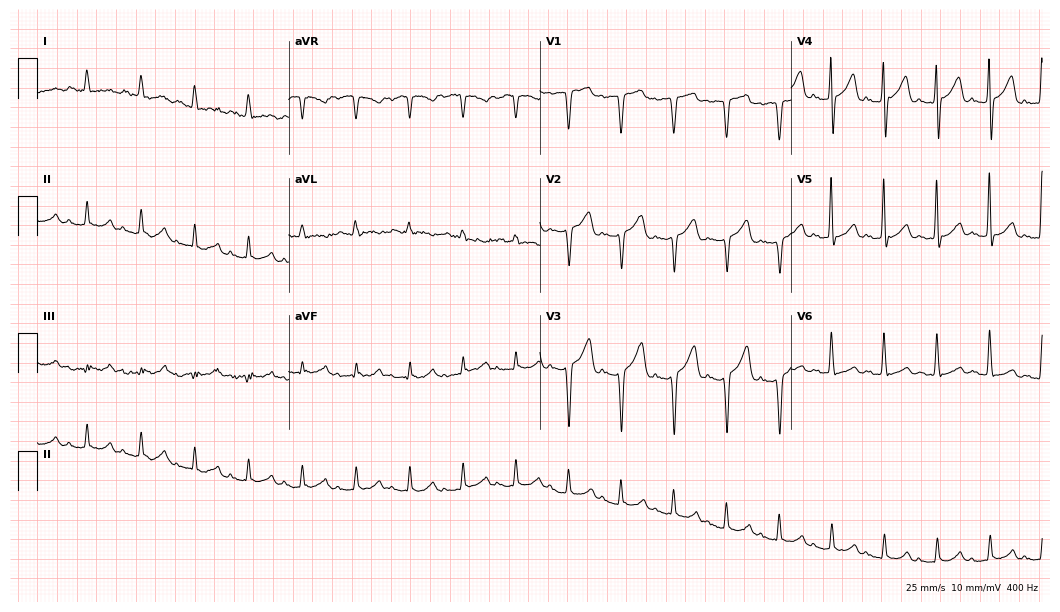
Resting 12-lead electrocardiogram. Patient: a female, 78 years old. The tracing shows sinus tachycardia (a sinus rate of 100 beats per minute or more).